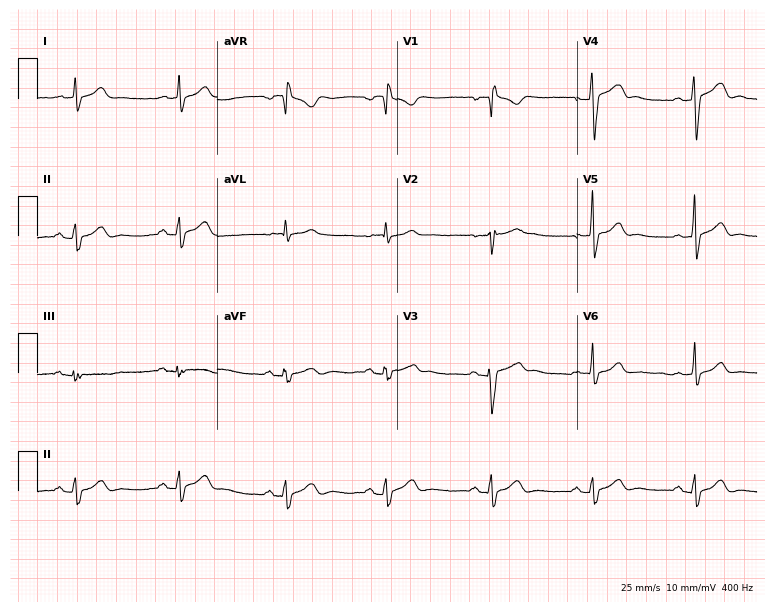
12-lead ECG from a man, 25 years old. Screened for six findings — first-degree AV block, right bundle branch block, left bundle branch block, sinus bradycardia, atrial fibrillation, sinus tachycardia — none is recorded.